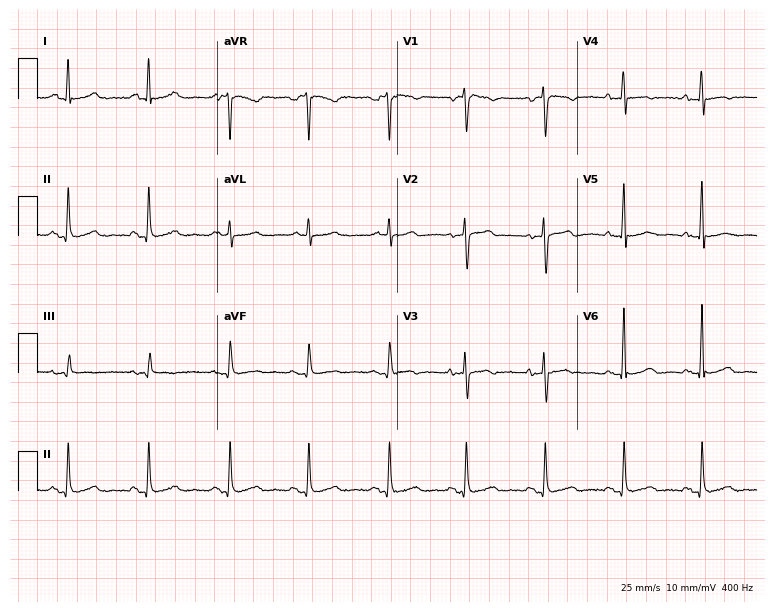
12-lead ECG (7.3-second recording at 400 Hz) from a female patient, 55 years old. Screened for six findings — first-degree AV block, right bundle branch block (RBBB), left bundle branch block (LBBB), sinus bradycardia, atrial fibrillation (AF), sinus tachycardia — none is recorded.